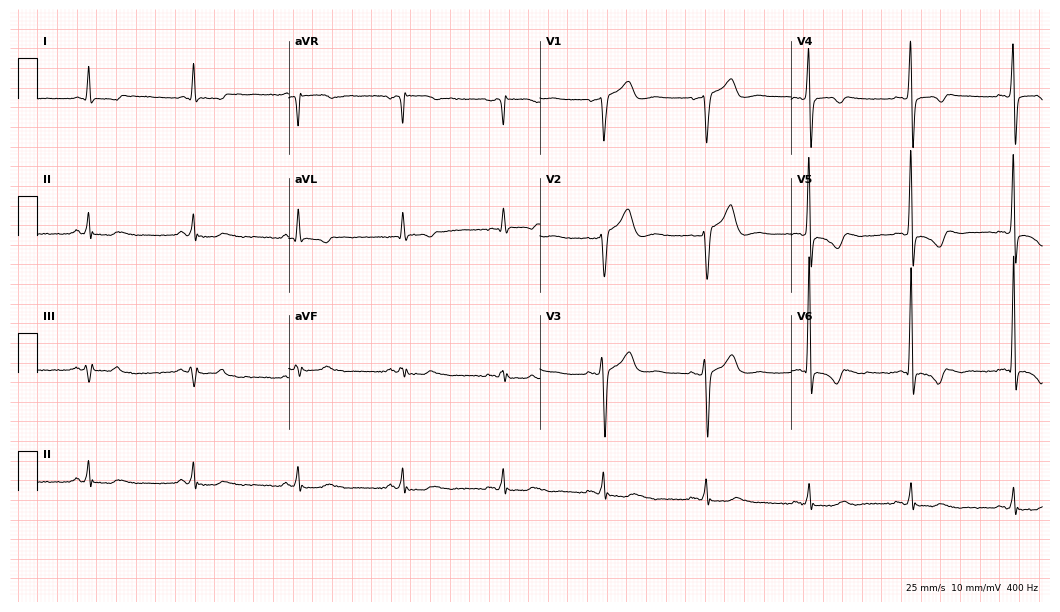
12-lead ECG from a male patient, 59 years old (10.2-second recording at 400 Hz). No first-degree AV block, right bundle branch block (RBBB), left bundle branch block (LBBB), sinus bradycardia, atrial fibrillation (AF) or sinus tachycardia recorded for this tracing.